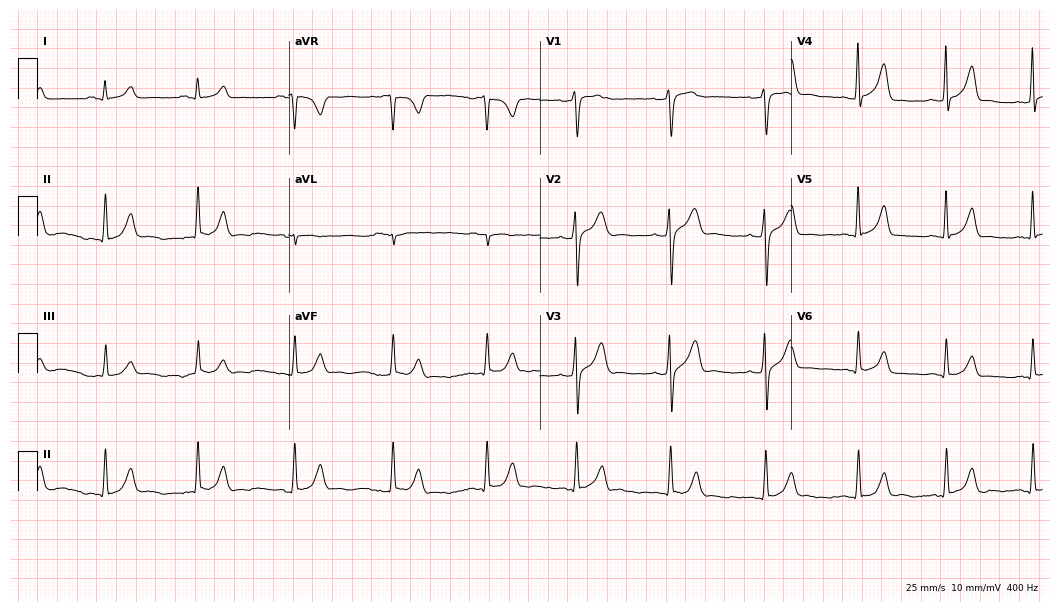
ECG — a 24-year-old man. Labelled as a normal ECG.